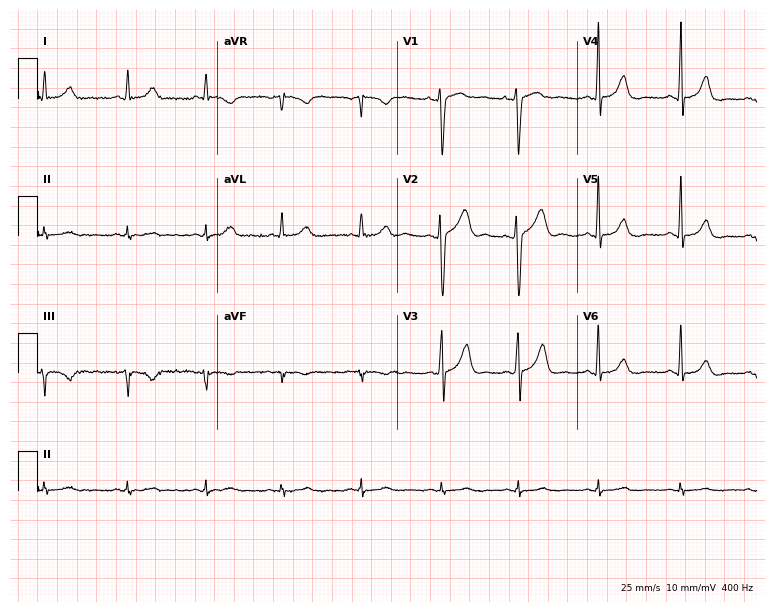
Resting 12-lead electrocardiogram (7.3-second recording at 400 Hz). Patient: a 48-year-old female. None of these six findings is recorded: first-degree AV block, right bundle branch block, left bundle branch block, sinus bradycardia, atrial fibrillation, sinus tachycardia. Only these six findings were labelled.